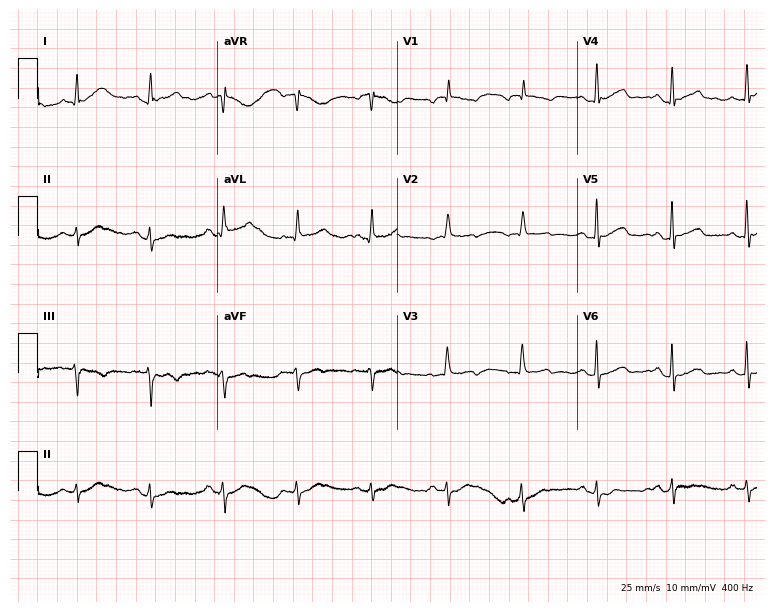
Electrocardiogram, a 69-year-old woman. Of the six screened findings (first-degree AV block, right bundle branch block (RBBB), left bundle branch block (LBBB), sinus bradycardia, atrial fibrillation (AF), sinus tachycardia), none is recorded. Other findings, if any, are not listed.